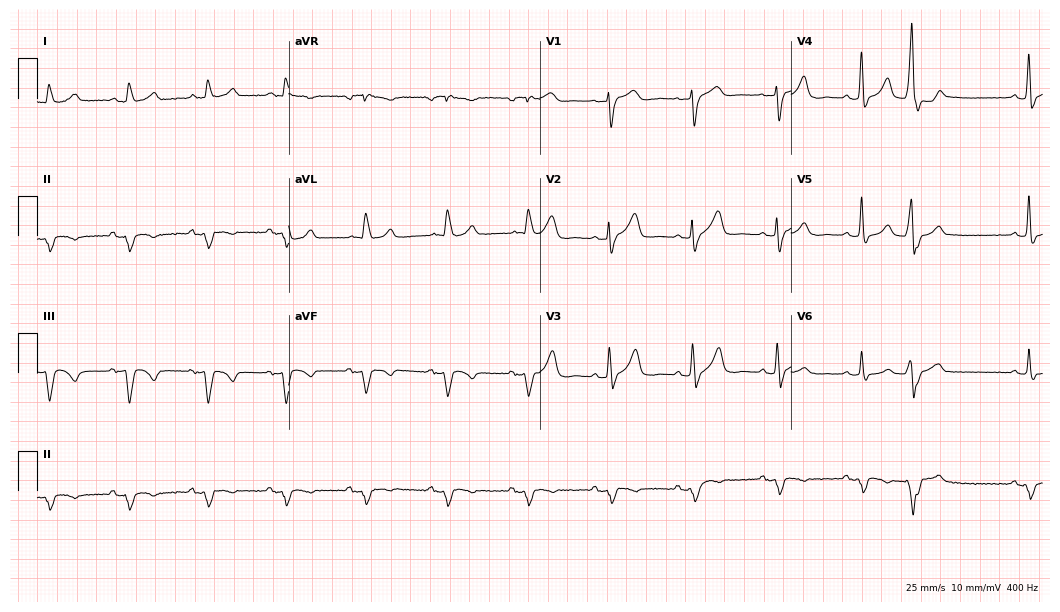
Electrocardiogram (10.2-second recording at 400 Hz), a man, 73 years old. Of the six screened findings (first-degree AV block, right bundle branch block, left bundle branch block, sinus bradycardia, atrial fibrillation, sinus tachycardia), none is recorded.